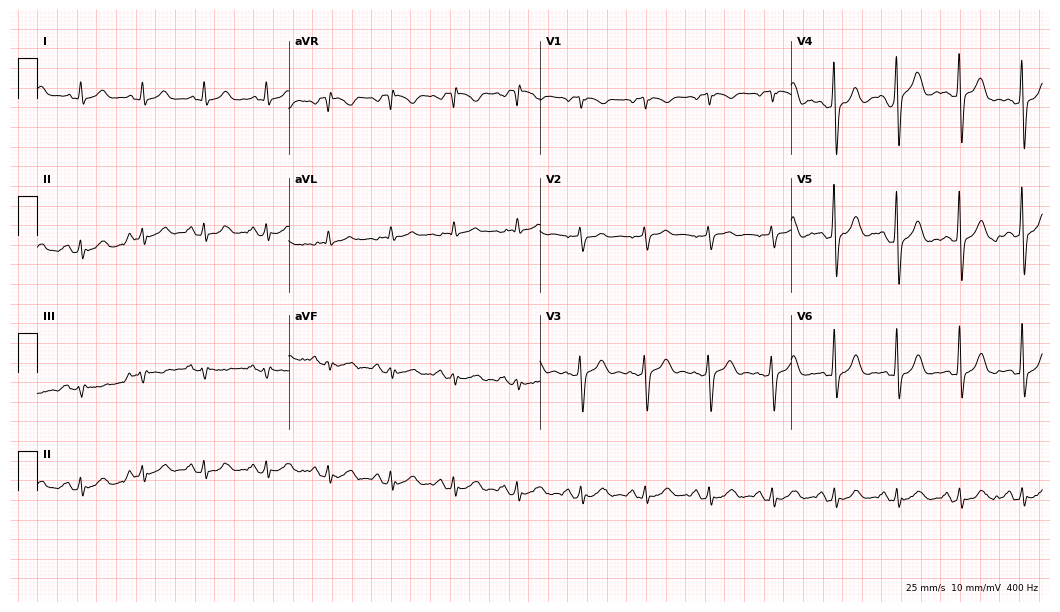
12-lead ECG from a male patient, 50 years old. Labelled as a normal ECG.